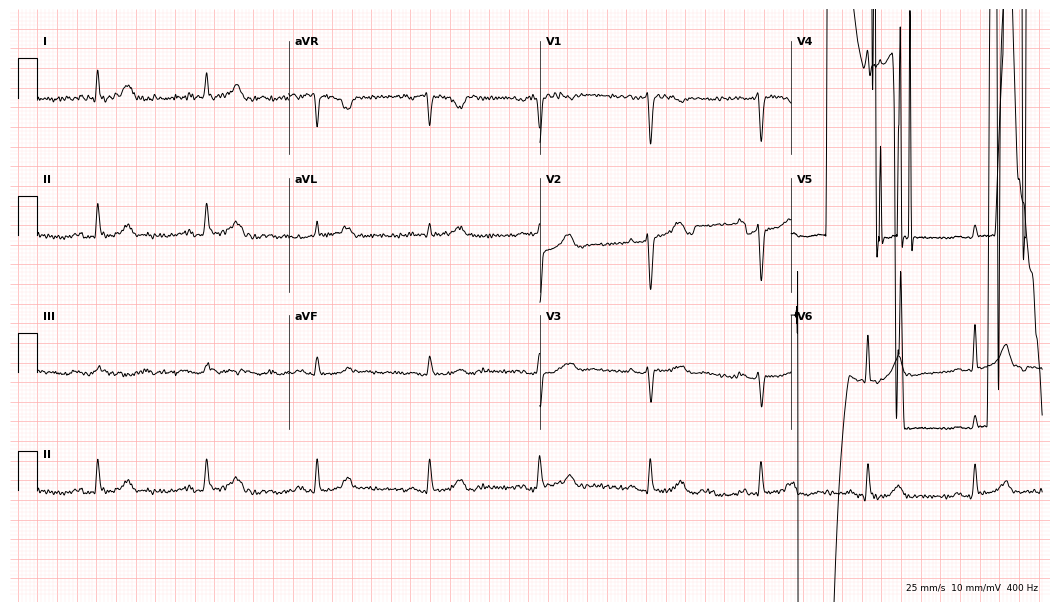
Standard 12-lead ECG recorded from a 62-year-old man. None of these six findings is recorded: first-degree AV block, right bundle branch block, left bundle branch block, sinus bradycardia, atrial fibrillation, sinus tachycardia. Findings outside these six are not listed.